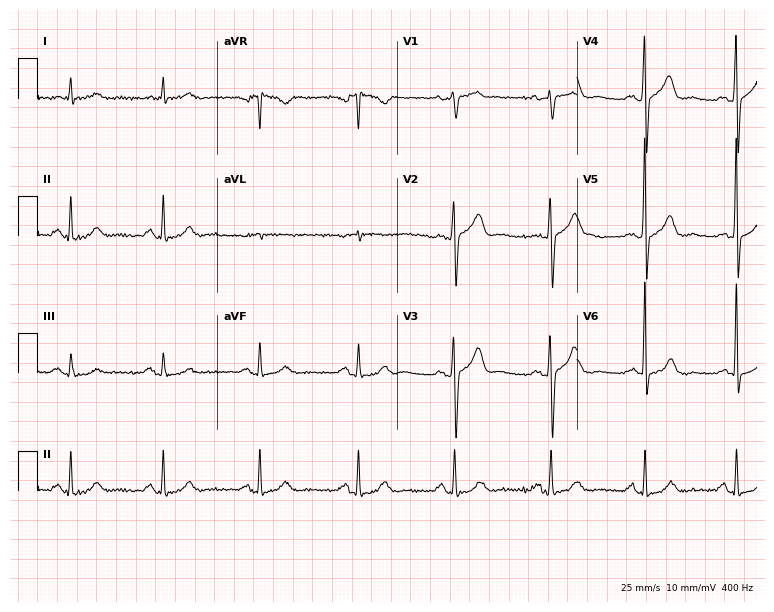
Resting 12-lead electrocardiogram (7.3-second recording at 400 Hz). Patient: a 62-year-old male. None of these six findings is recorded: first-degree AV block, right bundle branch block, left bundle branch block, sinus bradycardia, atrial fibrillation, sinus tachycardia.